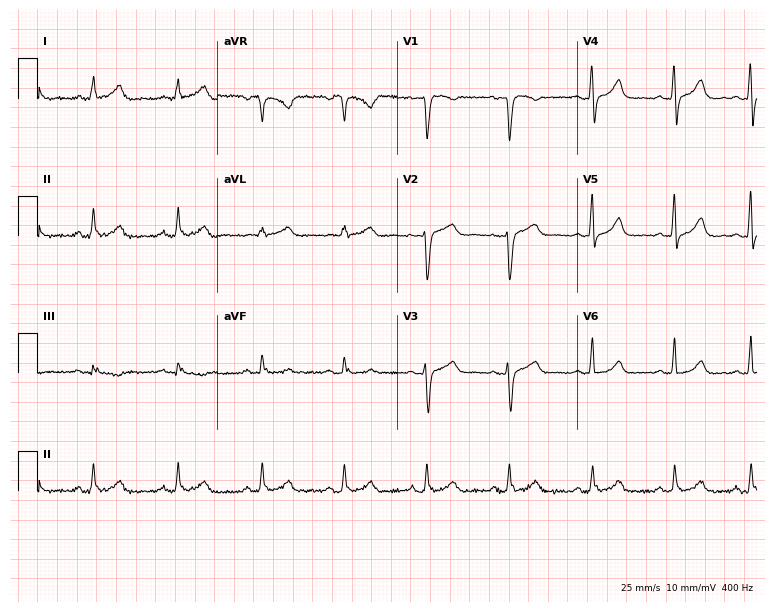
Resting 12-lead electrocardiogram (7.3-second recording at 400 Hz). Patient: a 46-year-old woman. Read as a normal ECG.